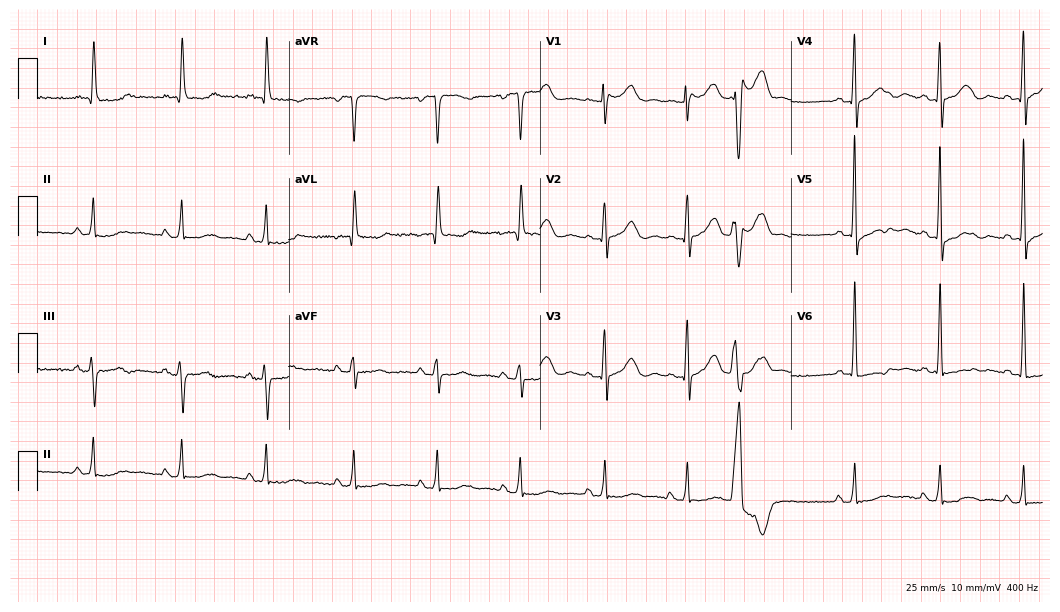
Standard 12-lead ECG recorded from an 86-year-old female patient (10.2-second recording at 400 Hz). None of these six findings is recorded: first-degree AV block, right bundle branch block, left bundle branch block, sinus bradycardia, atrial fibrillation, sinus tachycardia.